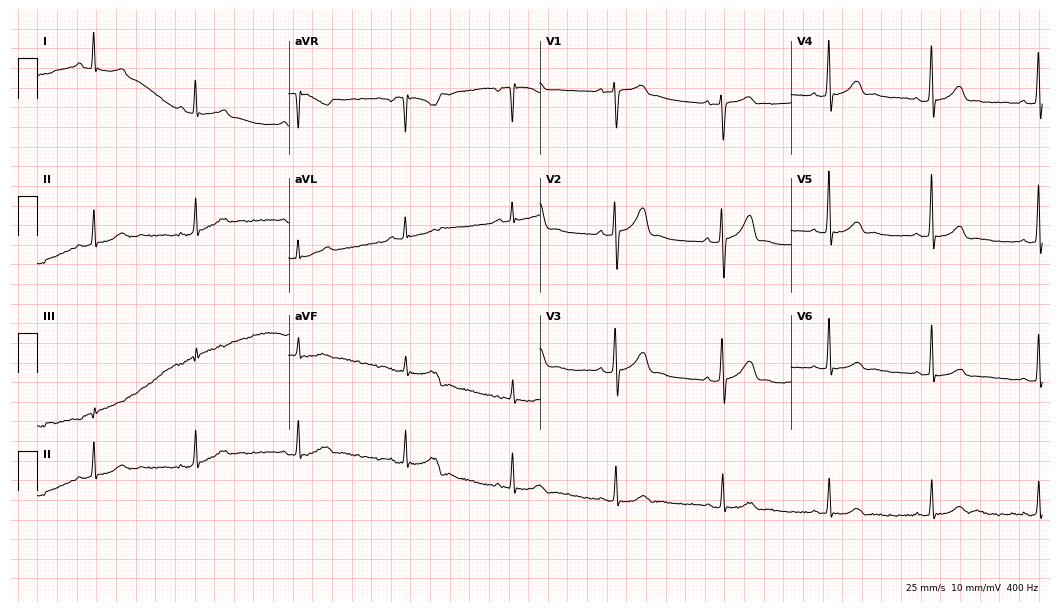
Electrocardiogram (10.2-second recording at 400 Hz), a man, 46 years old. Overall reading on record: normal ECG.